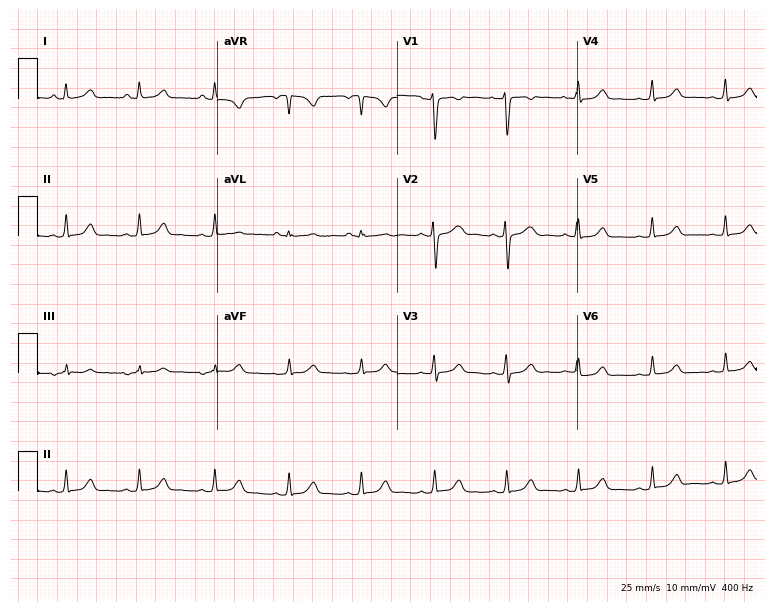
12-lead ECG from a female patient, 23 years old. Screened for six findings — first-degree AV block, right bundle branch block, left bundle branch block, sinus bradycardia, atrial fibrillation, sinus tachycardia — none is recorded. Only these six findings were labelled.